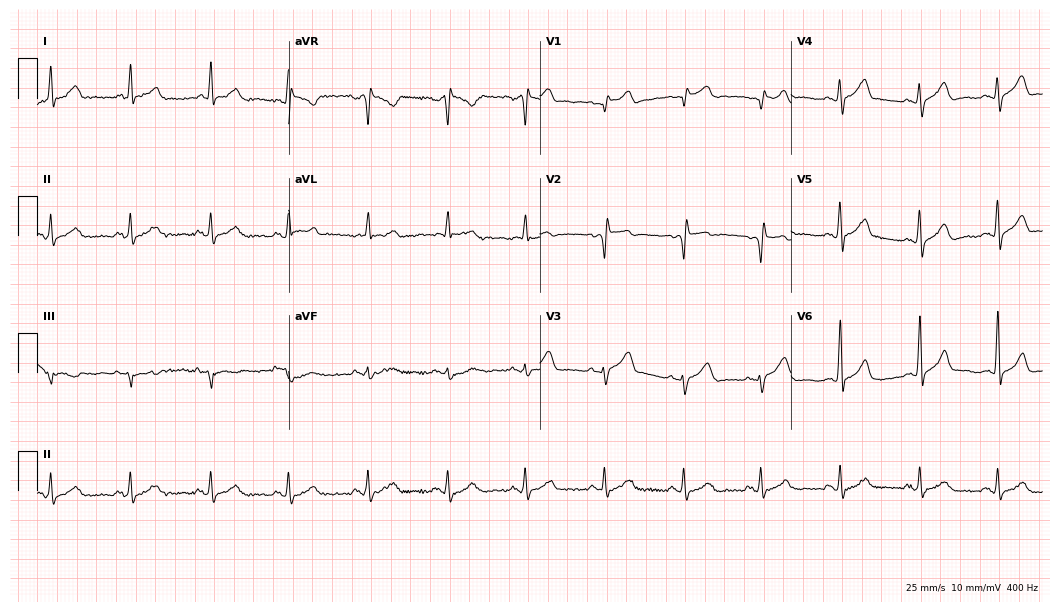
ECG (10.2-second recording at 400 Hz) — a male, 51 years old. Screened for six findings — first-degree AV block, right bundle branch block (RBBB), left bundle branch block (LBBB), sinus bradycardia, atrial fibrillation (AF), sinus tachycardia — none is recorded.